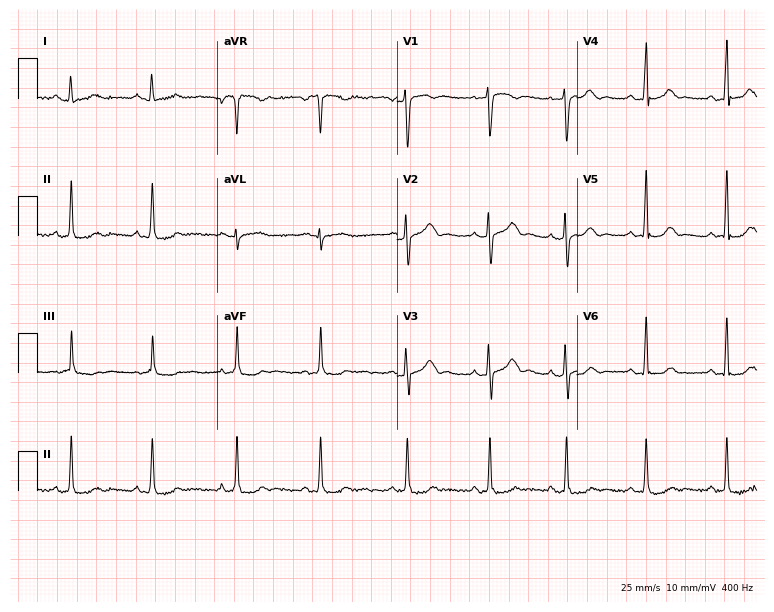
Standard 12-lead ECG recorded from a 19-year-old female patient (7.3-second recording at 400 Hz). None of these six findings is recorded: first-degree AV block, right bundle branch block (RBBB), left bundle branch block (LBBB), sinus bradycardia, atrial fibrillation (AF), sinus tachycardia. Only these six findings were labelled.